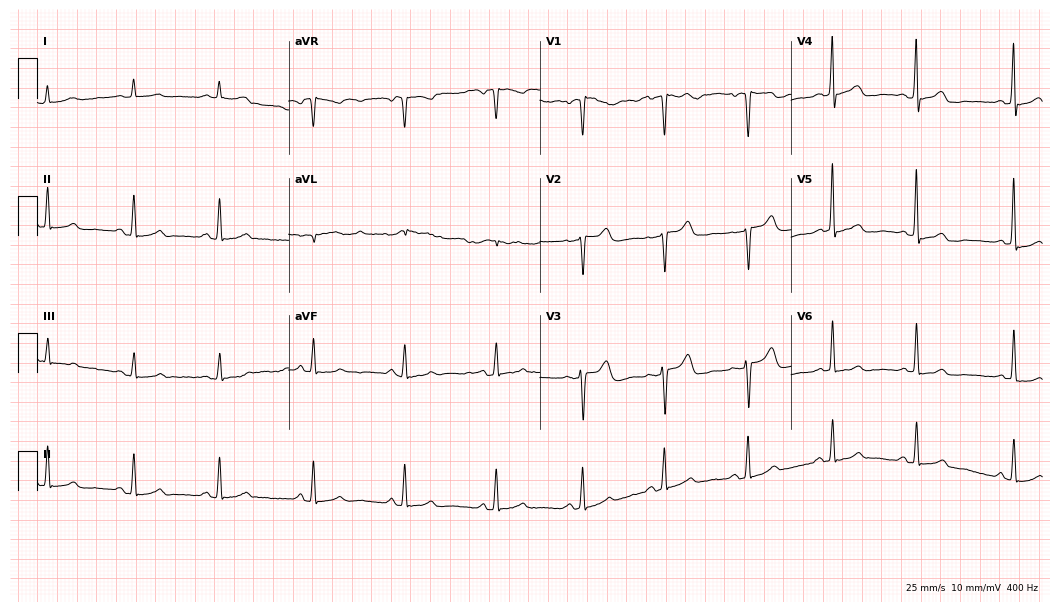
Standard 12-lead ECG recorded from a 62-year-old male (10.2-second recording at 400 Hz). None of these six findings is recorded: first-degree AV block, right bundle branch block, left bundle branch block, sinus bradycardia, atrial fibrillation, sinus tachycardia.